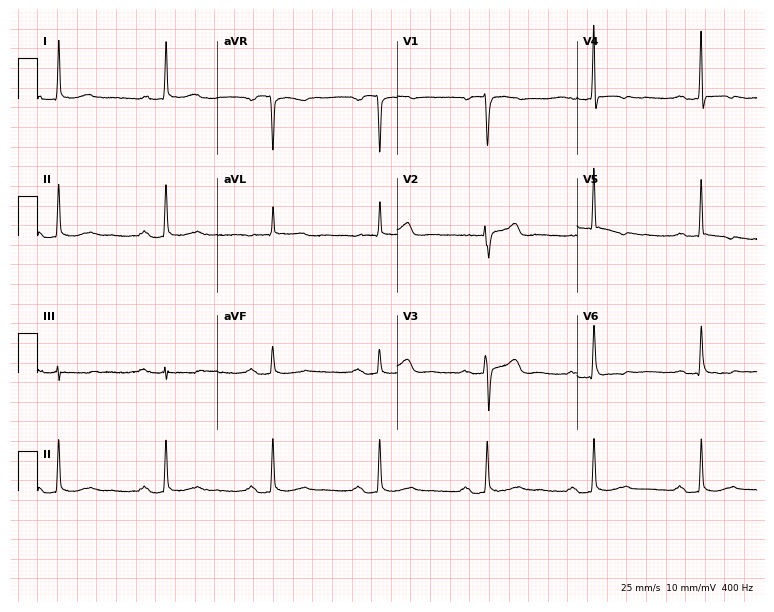
12-lead ECG from an 85-year-old man (7.3-second recording at 400 Hz). No first-degree AV block, right bundle branch block, left bundle branch block, sinus bradycardia, atrial fibrillation or sinus tachycardia recorded for this tracing.